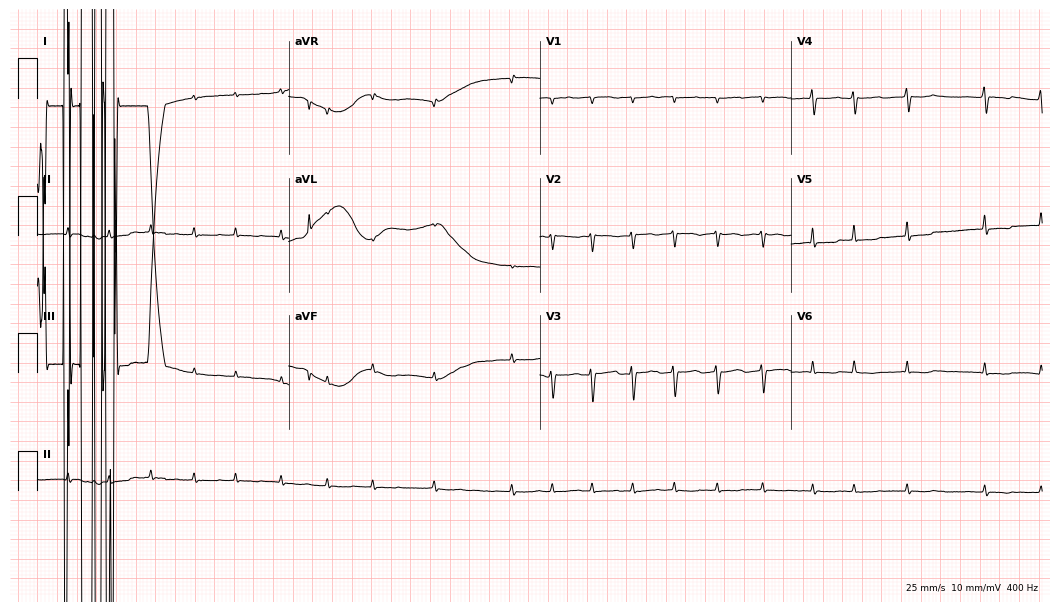
ECG — a female patient, 73 years old. Findings include atrial fibrillation (AF).